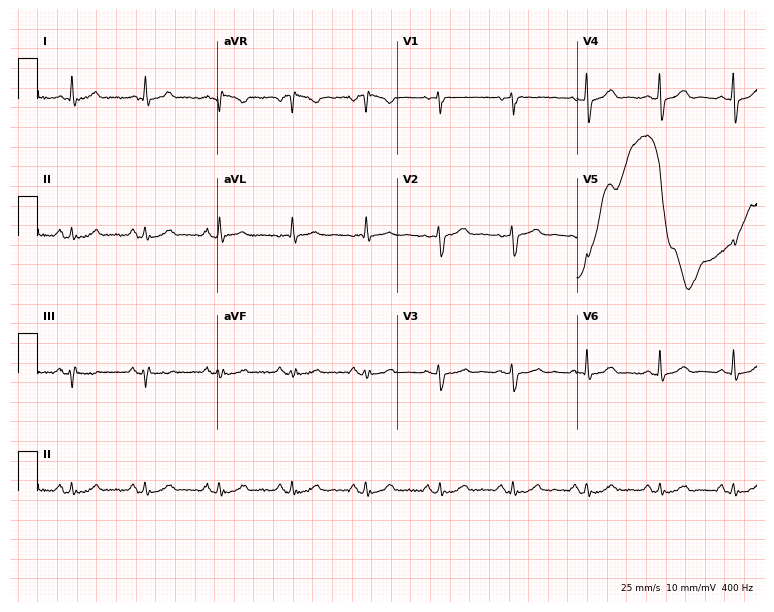
Standard 12-lead ECG recorded from a 71-year-old woman (7.3-second recording at 400 Hz). None of these six findings is recorded: first-degree AV block, right bundle branch block (RBBB), left bundle branch block (LBBB), sinus bradycardia, atrial fibrillation (AF), sinus tachycardia. Findings outside these six are not listed.